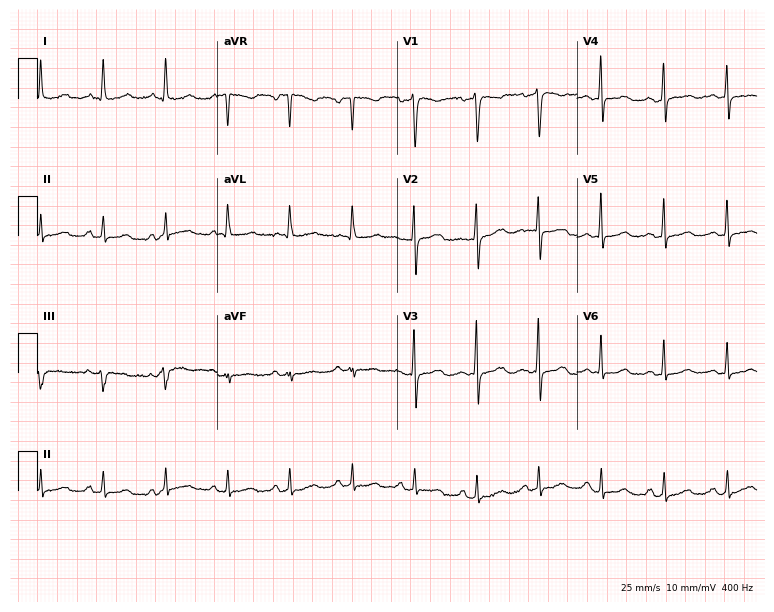
Standard 12-lead ECG recorded from a 57-year-old woman. Read as a normal ECG.